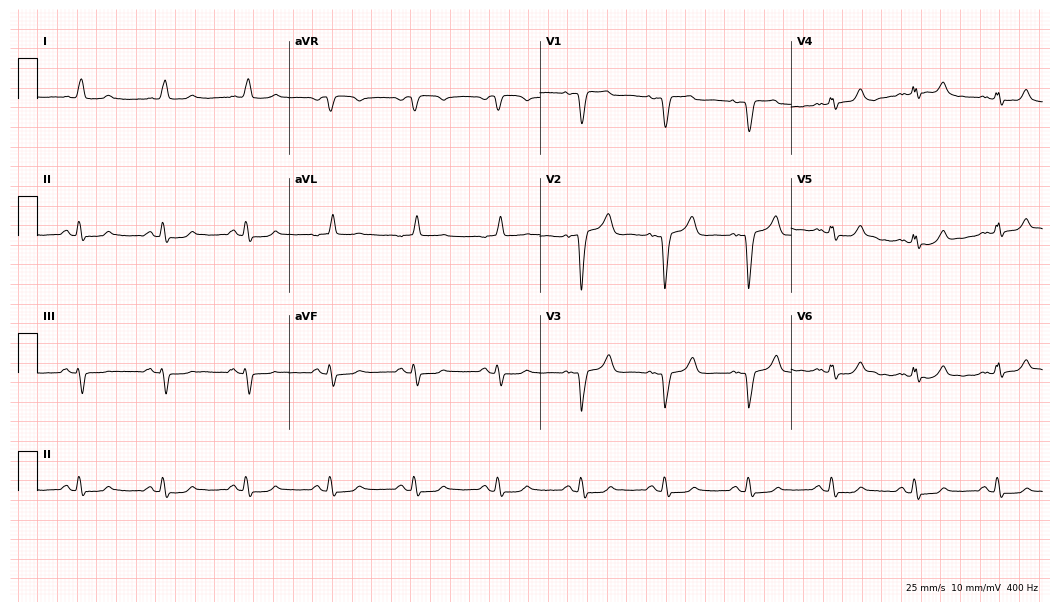
12-lead ECG from a woman, 81 years old. No first-degree AV block, right bundle branch block, left bundle branch block, sinus bradycardia, atrial fibrillation or sinus tachycardia recorded for this tracing. Findings outside these six are not listed.